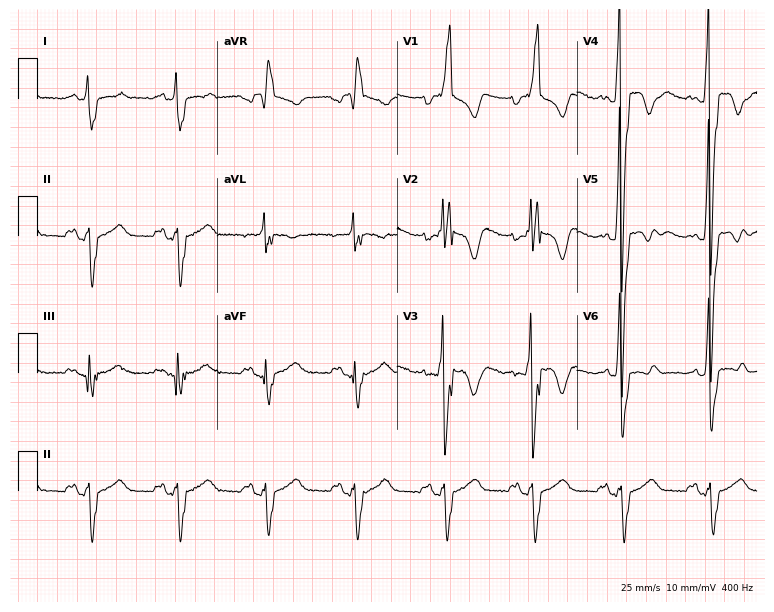
Resting 12-lead electrocardiogram. Patient: a male, 65 years old. The tracing shows right bundle branch block.